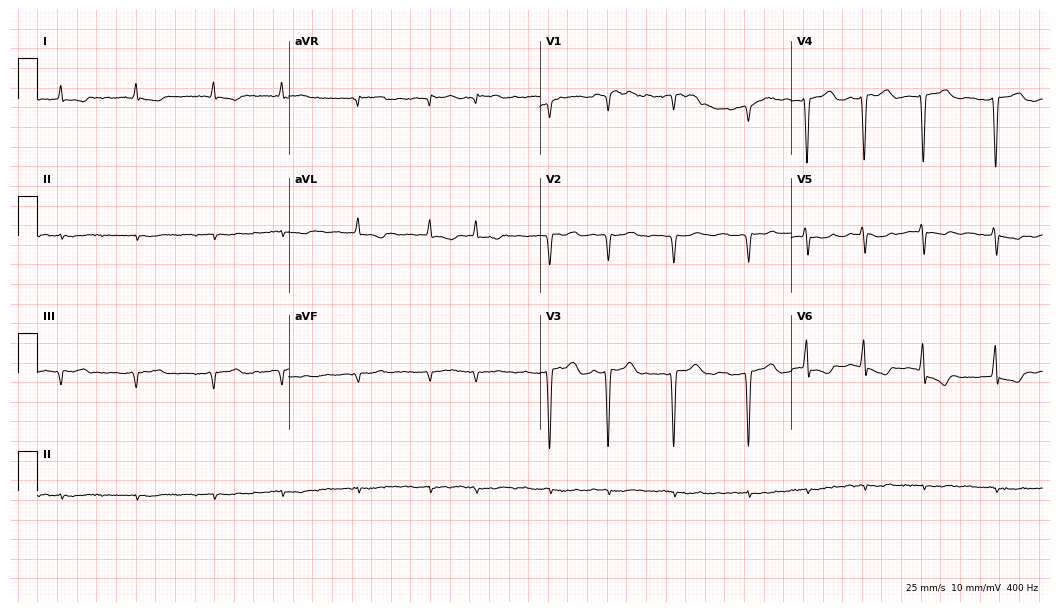
Resting 12-lead electrocardiogram. Patient: a female, 85 years old. The tracing shows atrial fibrillation (AF).